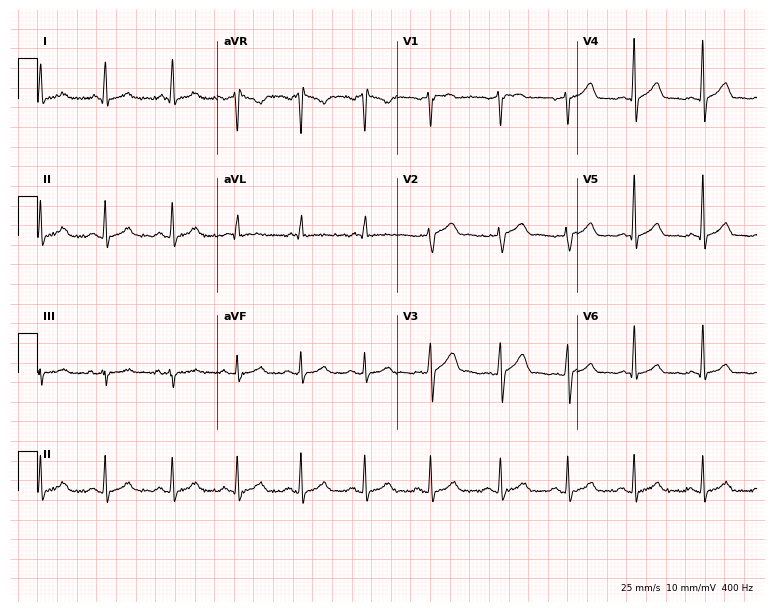
Electrocardiogram (7.3-second recording at 400 Hz), a 32-year-old male. Overall reading on record: normal ECG.